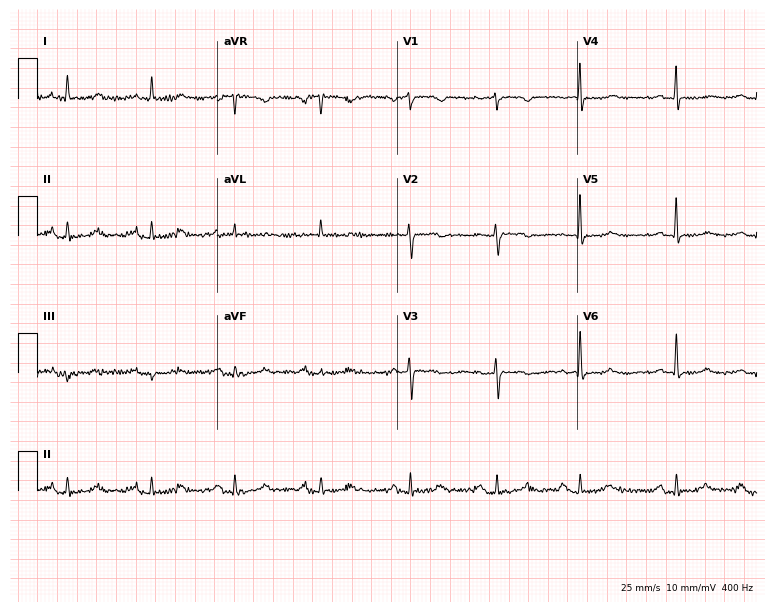
12-lead ECG from a 69-year-old female patient. Screened for six findings — first-degree AV block, right bundle branch block (RBBB), left bundle branch block (LBBB), sinus bradycardia, atrial fibrillation (AF), sinus tachycardia — none is recorded. Other findings, if any, are not listed.